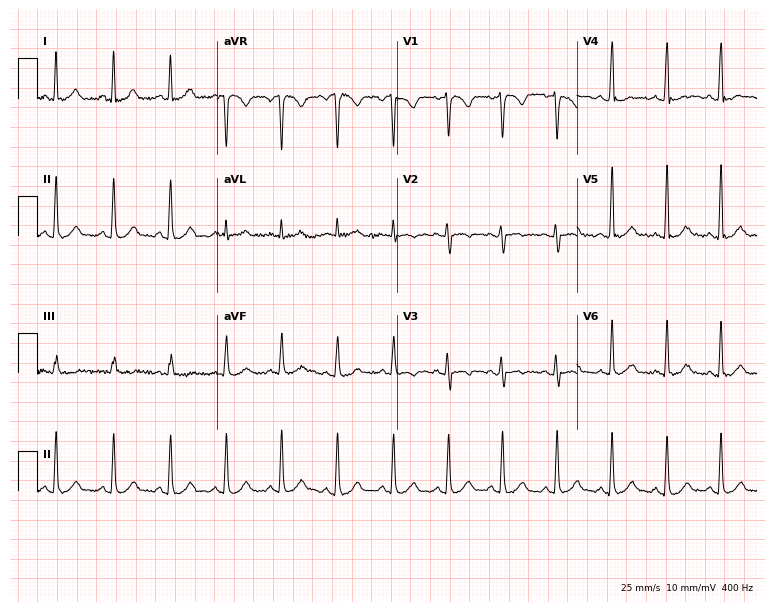
Standard 12-lead ECG recorded from a female patient, 47 years old. The tracing shows sinus tachycardia (a sinus rate of 100 beats per minute or more).